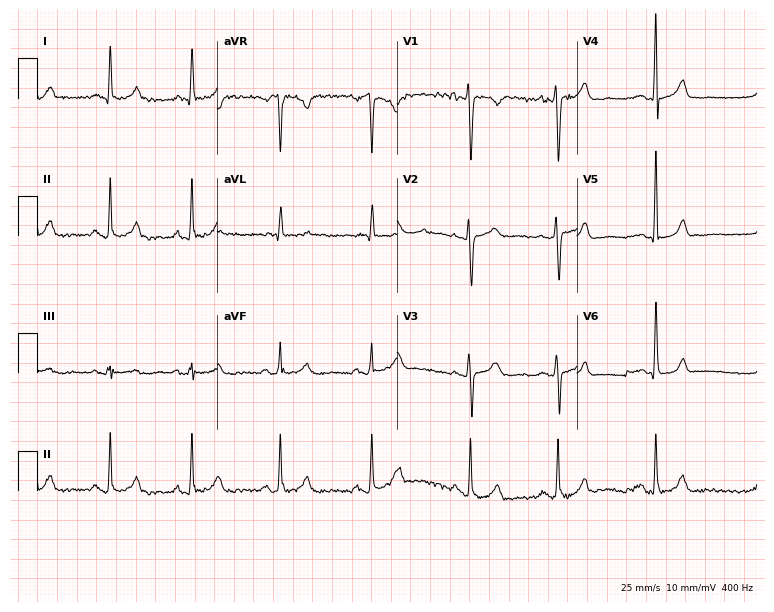
Resting 12-lead electrocardiogram (7.3-second recording at 400 Hz). Patient: a 40-year-old woman. Read as a normal ECG.